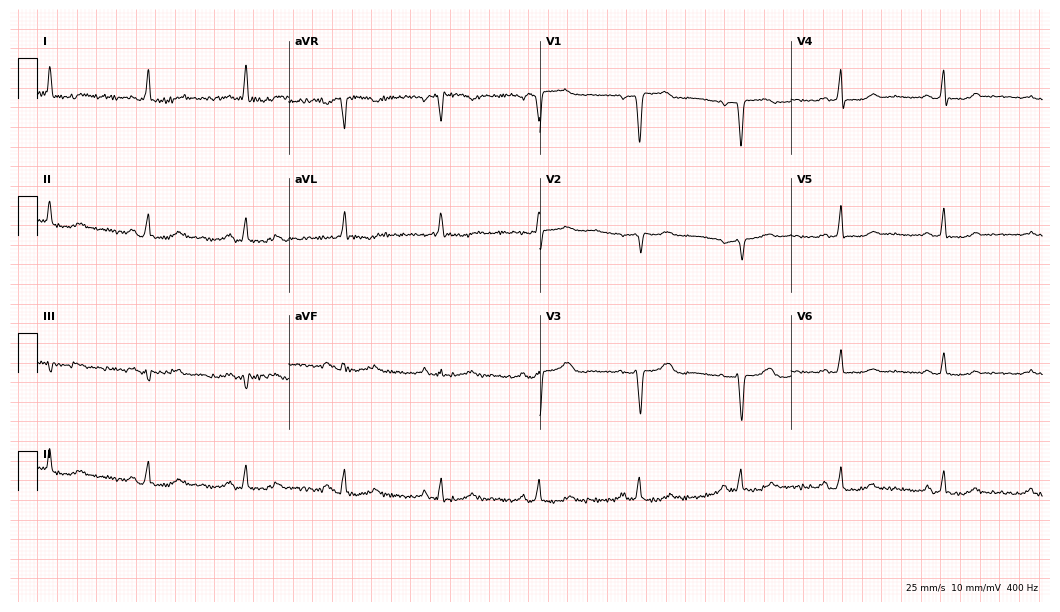
Standard 12-lead ECG recorded from a female, 61 years old. None of these six findings is recorded: first-degree AV block, right bundle branch block, left bundle branch block, sinus bradycardia, atrial fibrillation, sinus tachycardia. Only these six findings were labelled.